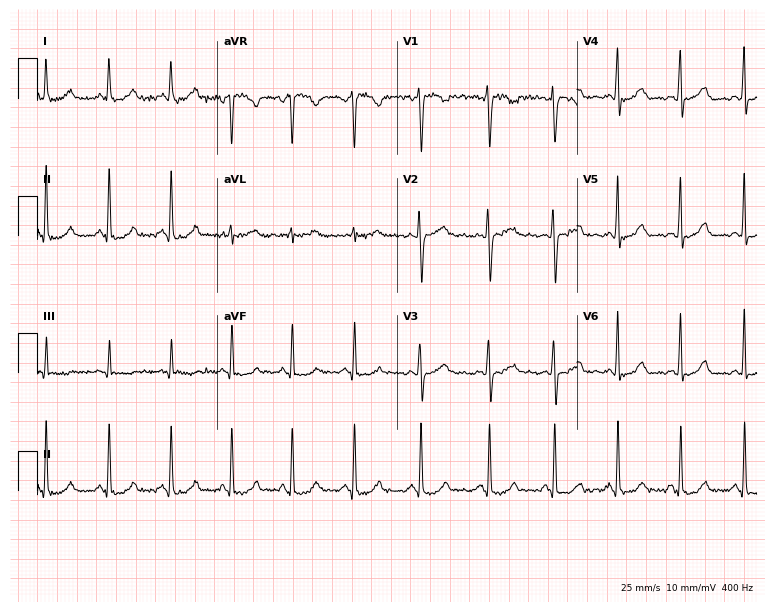
ECG — a female, 32 years old. Screened for six findings — first-degree AV block, right bundle branch block, left bundle branch block, sinus bradycardia, atrial fibrillation, sinus tachycardia — none is recorded.